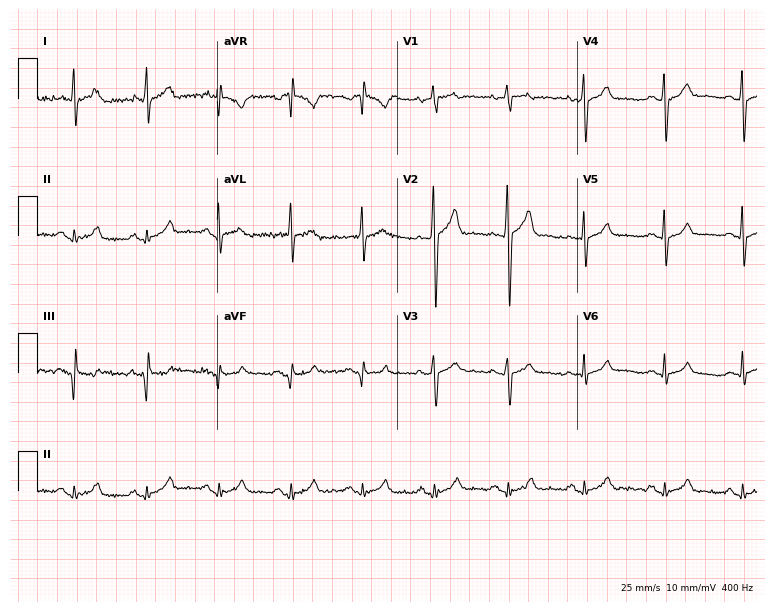
12-lead ECG from a male patient, 24 years old (7.3-second recording at 400 Hz). Recorded interpretation: within normal limits.